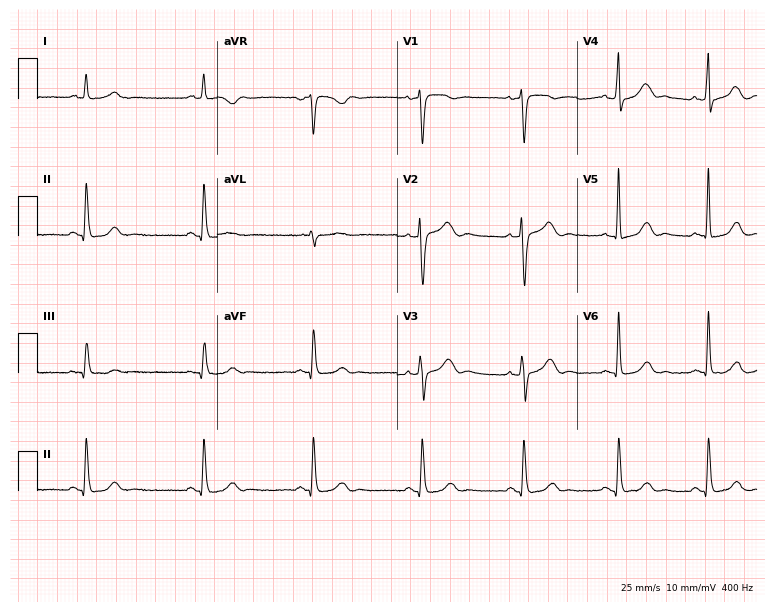
ECG (7.3-second recording at 400 Hz) — a female patient, 53 years old. Screened for six findings — first-degree AV block, right bundle branch block (RBBB), left bundle branch block (LBBB), sinus bradycardia, atrial fibrillation (AF), sinus tachycardia — none is recorded.